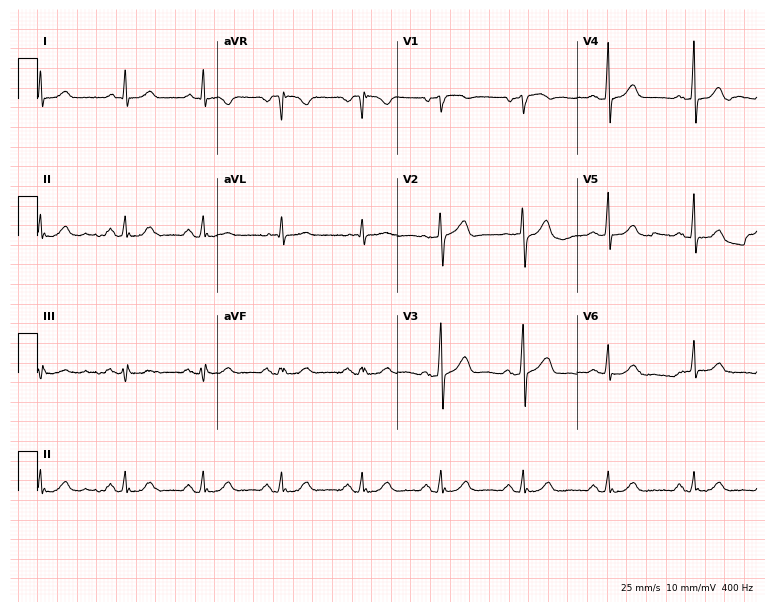
12-lead ECG from a 52-year-old male. Recorded interpretation: within normal limits.